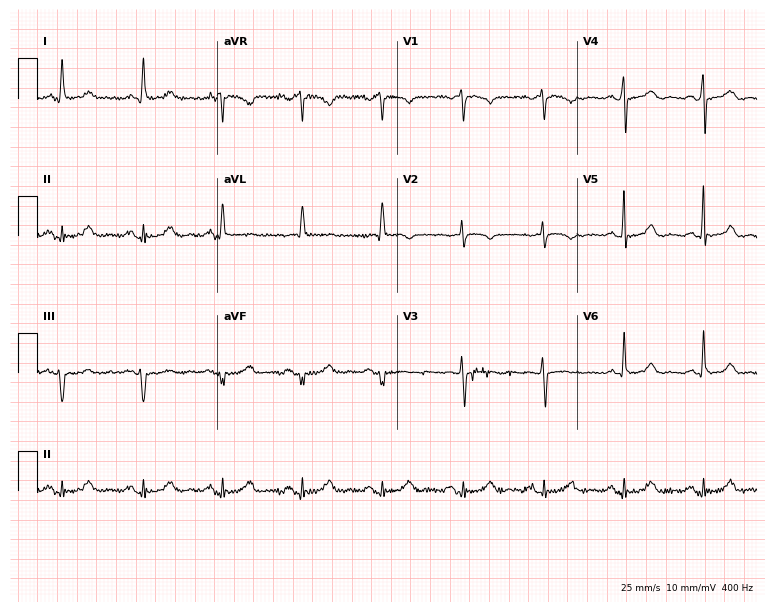
Electrocardiogram, a 67-year-old female. Of the six screened findings (first-degree AV block, right bundle branch block, left bundle branch block, sinus bradycardia, atrial fibrillation, sinus tachycardia), none is recorded. Only these six findings were labelled.